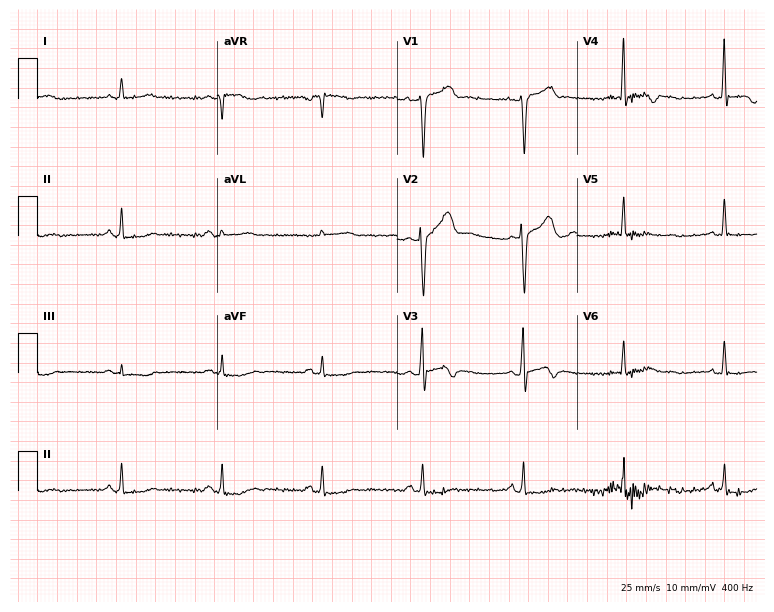
Standard 12-lead ECG recorded from a male, 47 years old. None of these six findings is recorded: first-degree AV block, right bundle branch block, left bundle branch block, sinus bradycardia, atrial fibrillation, sinus tachycardia. Findings outside these six are not listed.